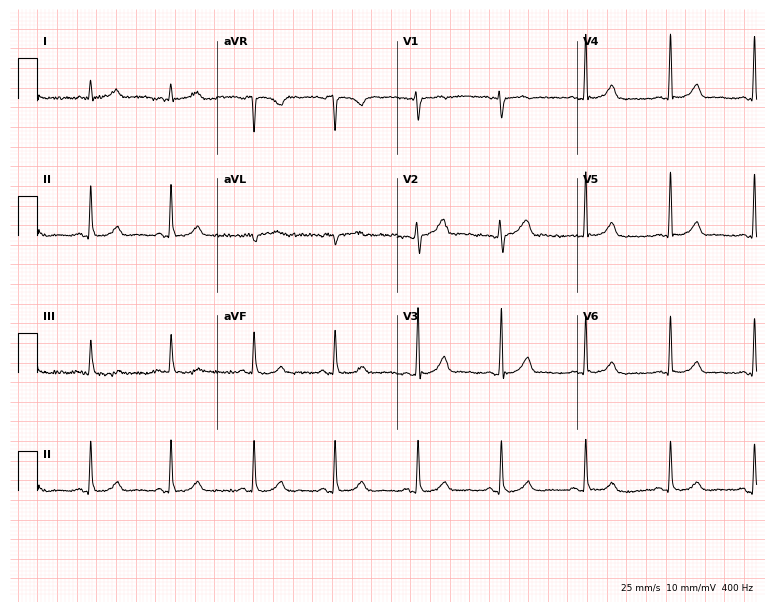
ECG — a woman, 47 years old. Labelled as a normal ECG.